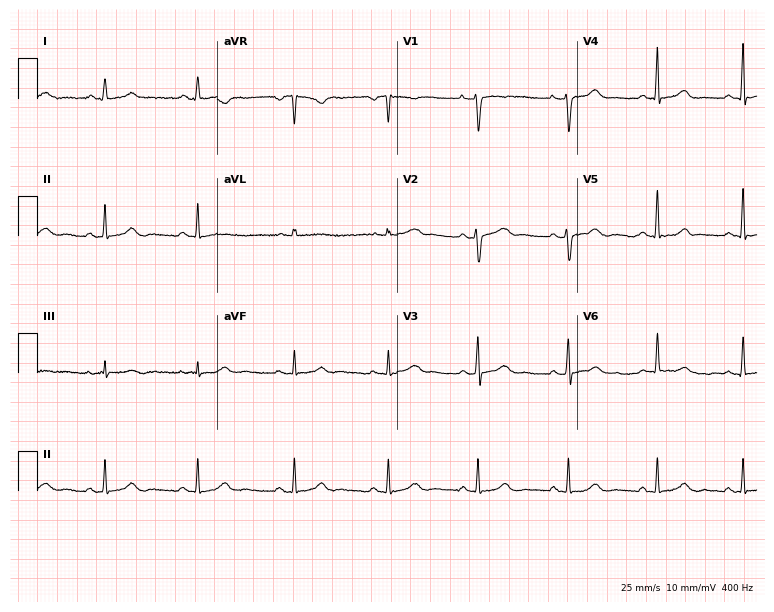
ECG — a female, 37 years old. Labelled as a normal ECG.